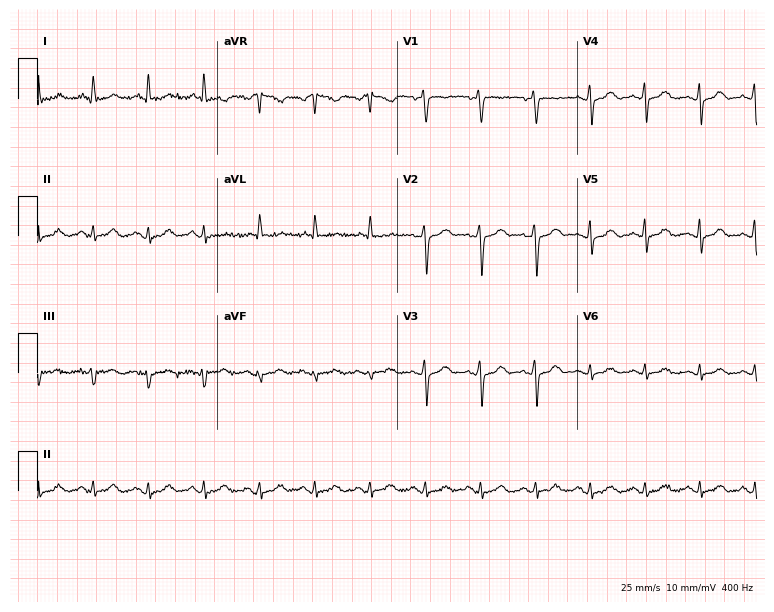
ECG (7.3-second recording at 400 Hz) — a 62-year-old woman. Findings include sinus tachycardia (a sinus rate of 100 beats per minute or more).